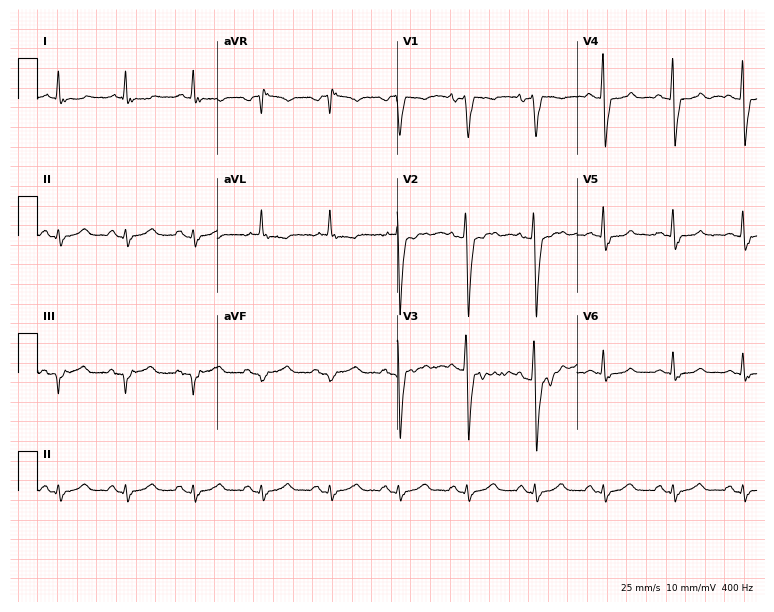
Resting 12-lead electrocardiogram (7.3-second recording at 400 Hz). Patient: a male, 44 years old. None of these six findings is recorded: first-degree AV block, right bundle branch block, left bundle branch block, sinus bradycardia, atrial fibrillation, sinus tachycardia. Other findings, if any, are not listed.